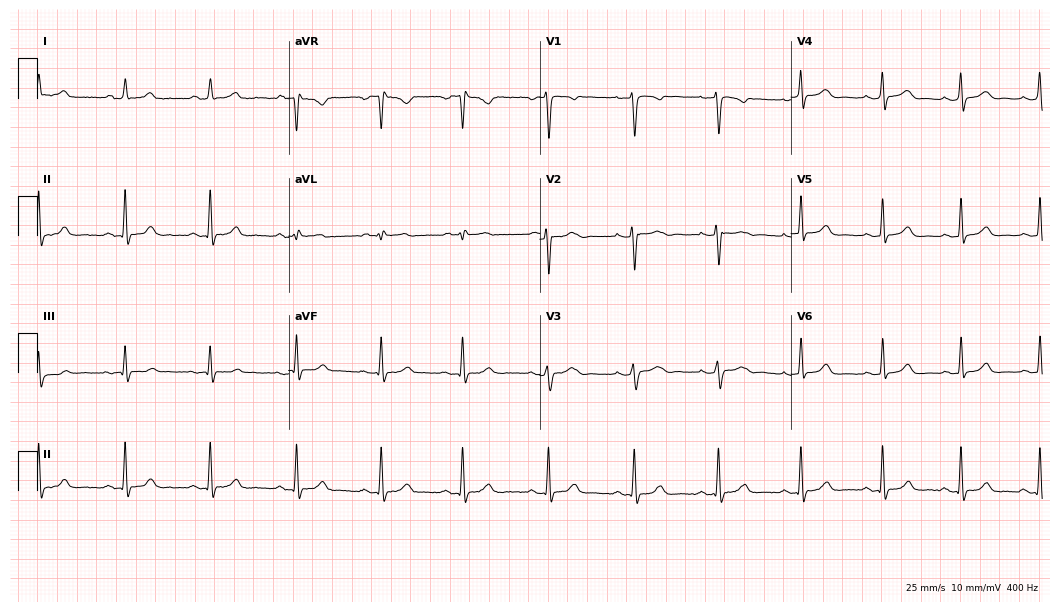
Resting 12-lead electrocardiogram (10.2-second recording at 400 Hz). Patient: a female, 36 years old. Read as a normal ECG.